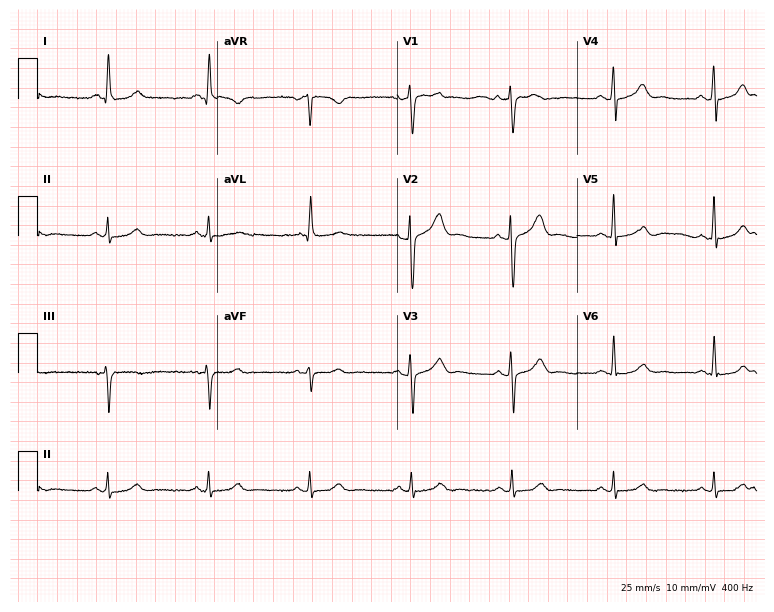
ECG (7.3-second recording at 400 Hz) — a 71-year-old male patient. Labelled as a normal ECG.